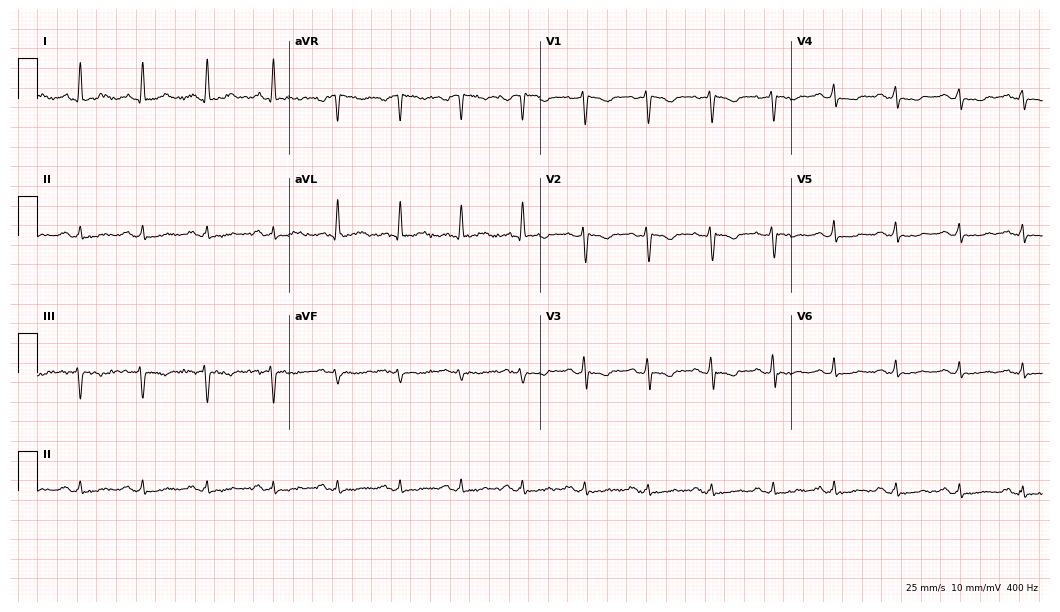
Standard 12-lead ECG recorded from a female, 46 years old (10.2-second recording at 400 Hz). None of these six findings is recorded: first-degree AV block, right bundle branch block, left bundle branch block, sinus bradycardia, atrial fibrillation, sinus tachycardia. Other findings, if any, are not listed.